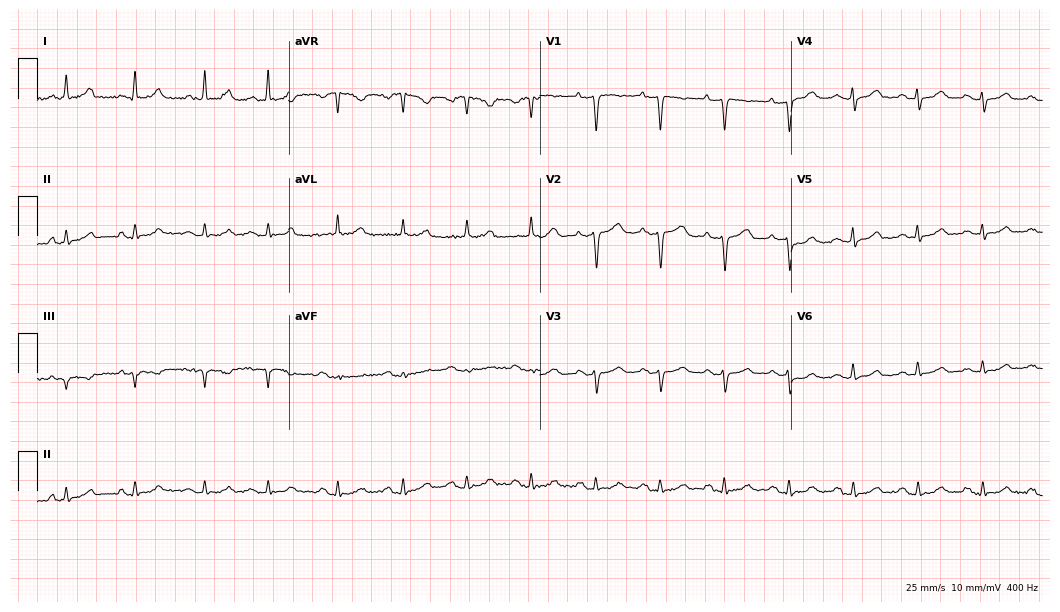
Resting 12-lead electrocardiogram (10.2-second recording at 400 Hz). Patient: a 70-year-old female. None of these six findings is recorded: first-degree AV block, right bundle branch block (RBBB), left bundle branch block (LBBB), sinus bradycardia, atrial fibrillation (AF), sinus tachycardia.